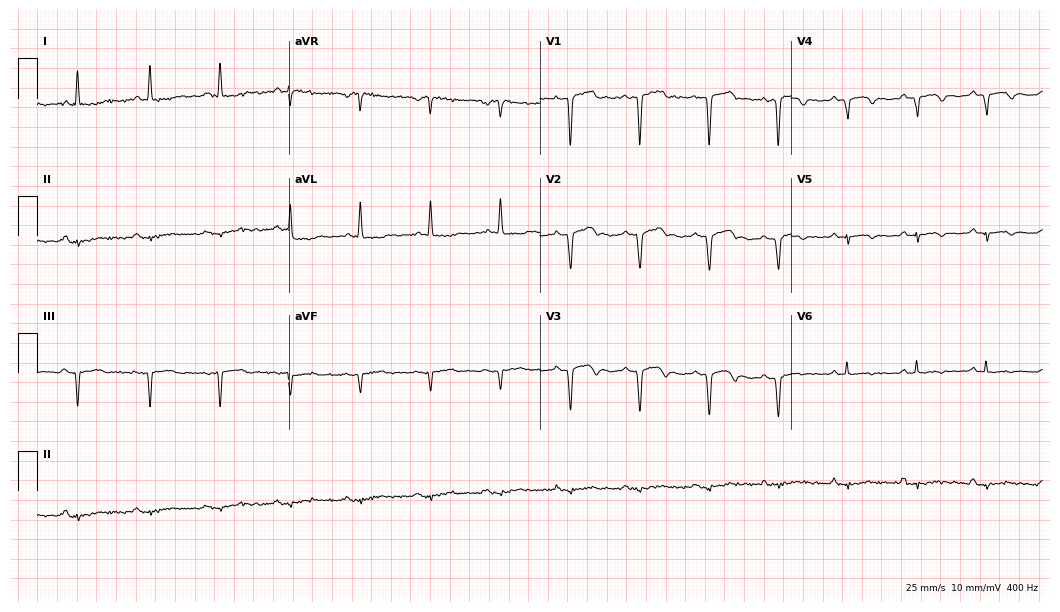
Electrocardiogram (10.2-second recording at 400 Hz), a 65-year-old woman. Of the six screened findings (first-degree AV block, right bundle branch block, left bundle branch block, sinus bradycardia, atrial fibrillation, sinus tachycardia), none is recorded.